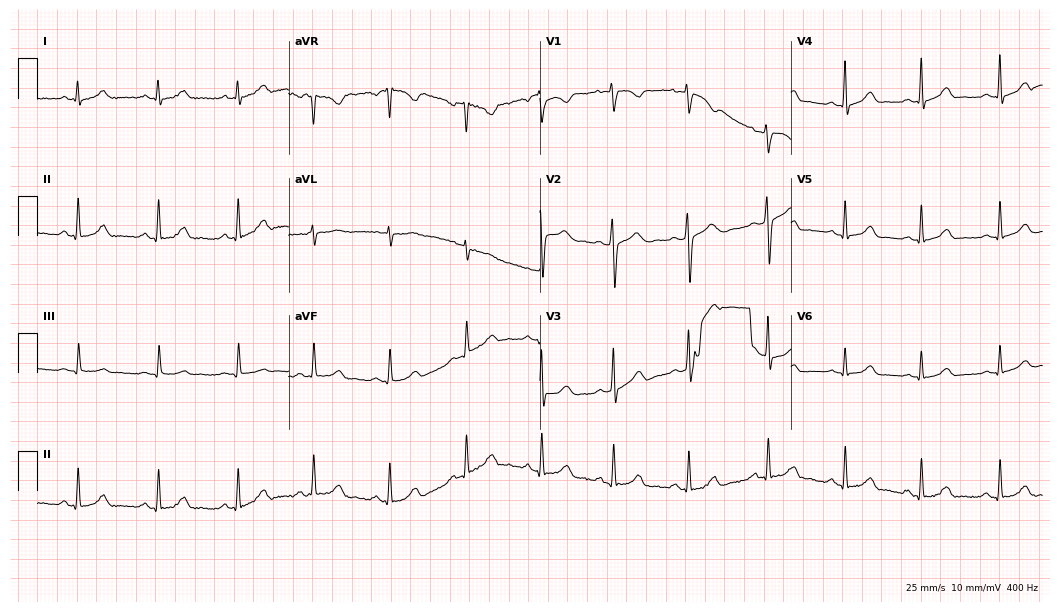
Electrocardiogram (10.2-second recording at 400 Hz), a female patient, 27 years old. Of the six screened findings (first-degree AV block, right bundle branch block, left bundle branch block, sinus bradycardia, atrial fibrillation, sinus tachycardia), none is recorded. Other findings, if any, are not listed.